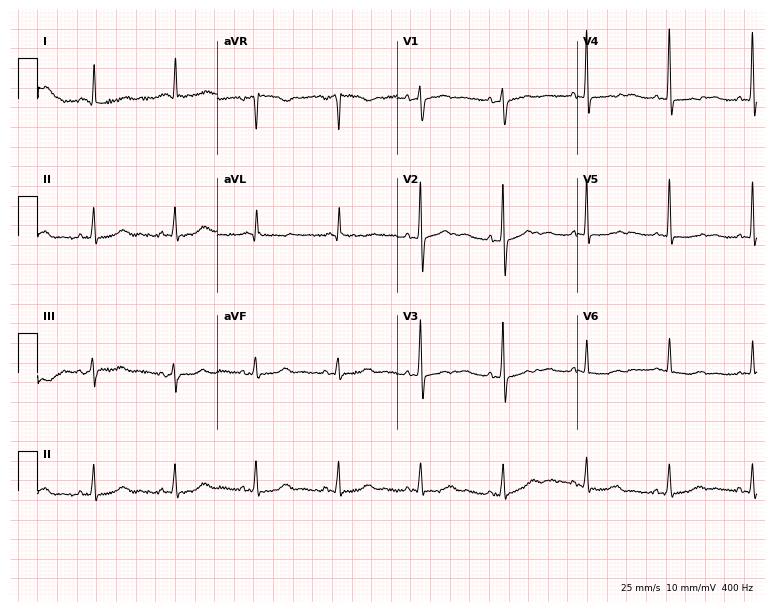
ECG (7.3-second recording at 400 Hz) — a woman, 53 years old. Screened for six findings — first-degree AV block, right bundle branch block (RBBB), left bundle branch block (LBBB), sinus bradycardia, atrial fibrillation (AF), sinus tachycardia — none is recorded.